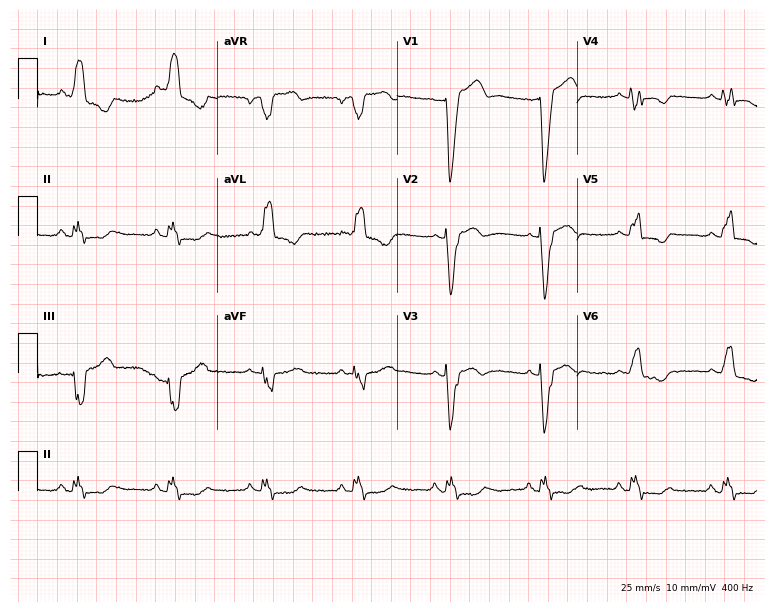
Standard 12-lead ECG recorded from a 77-year-old female patient. None of these six findings is recorded: first-degree AV block, right bundle branch block (RBBB), left bundle branch block (LBBB), sinus bradycardia, atrial fibrillation (AF), sinus tachycardia.